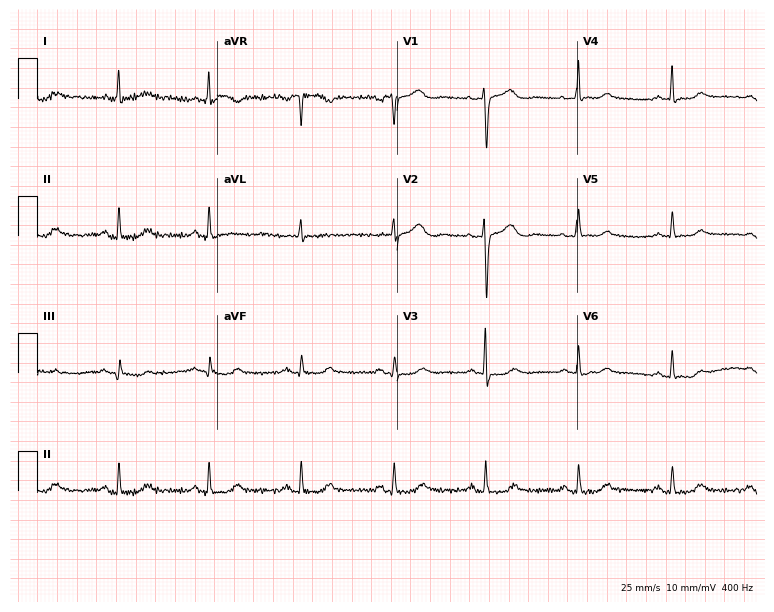
ECG — a 61-year-old female. Screened for six findings — first-degree AV block, right bundle branch block, left bundle branch block, sinus bradycardia, atrial fibrillation, sinus tachycardia — none is recorded.